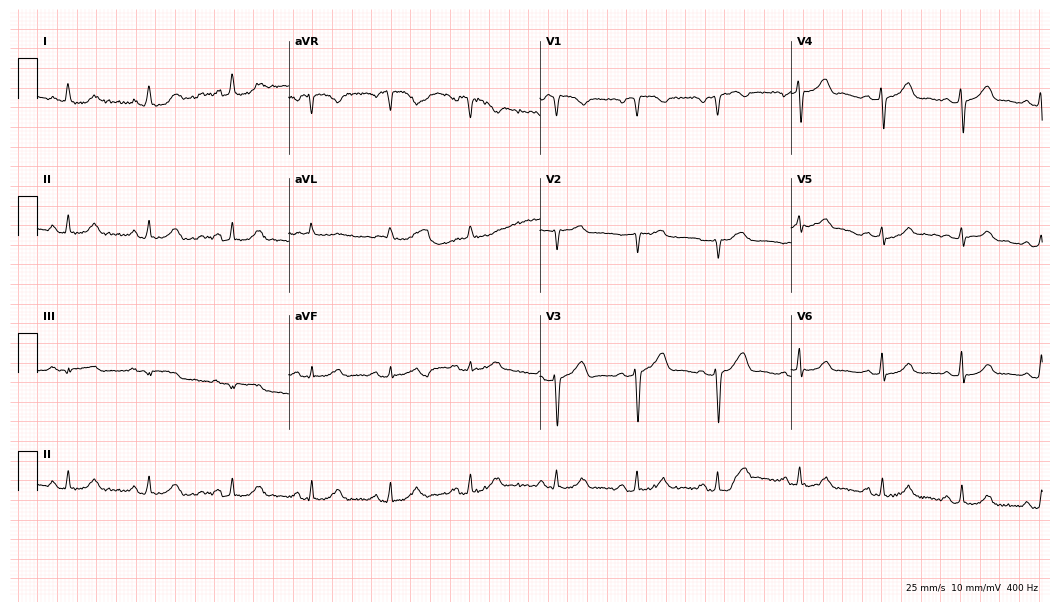
Standard 12-lead ECG recorded from a 74-year-old male patient (10.2-second recording at 400 Hz). Read as a normal ECG.